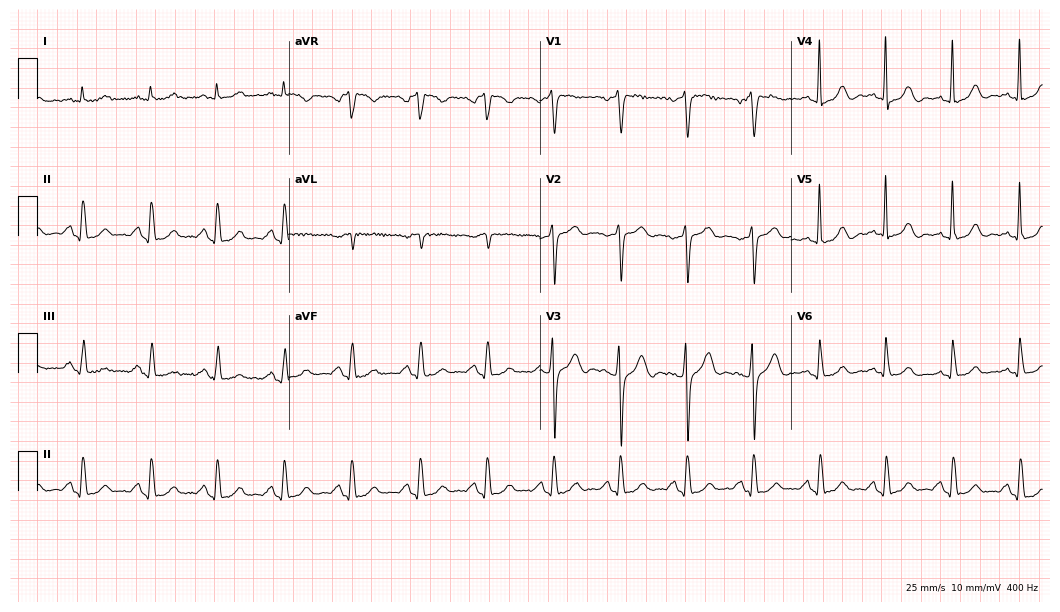
12-lead ECG from a male, 77 years old. Recorded interpretation: within normal limits.